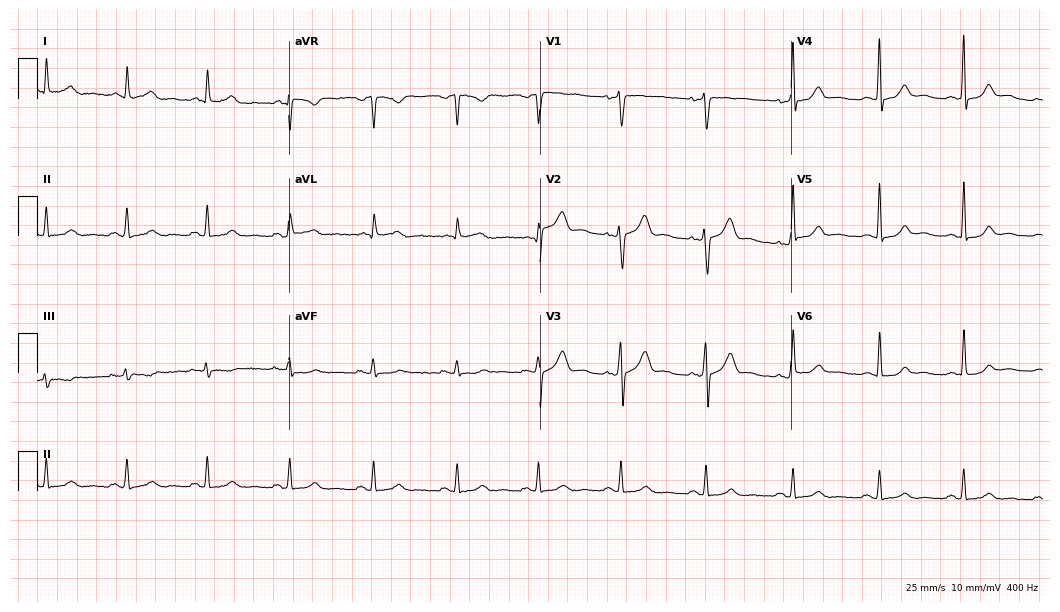
Resting 12-lead electrocardiogram (10.2-second recording at 400 Hz). Patient: a 44-year-old woman. None of these six findings is recorded: first-degree AV block, right bundle branch block, left bundle branch block, sinus bradycardia, atrial fibrillation, sinus tachycardia.